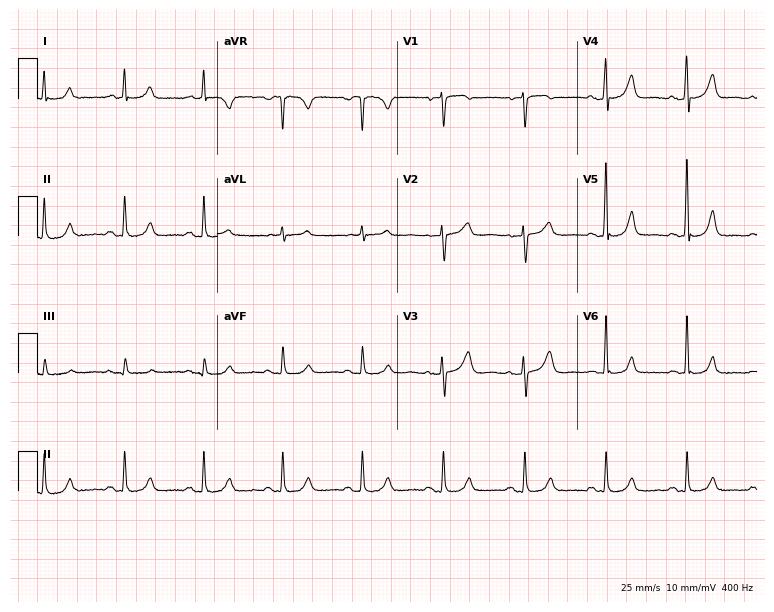
12-lead ECG (7.3-second recording at 400 Hz) from a female patient, 59 years old. Labelled as a normal ECG.